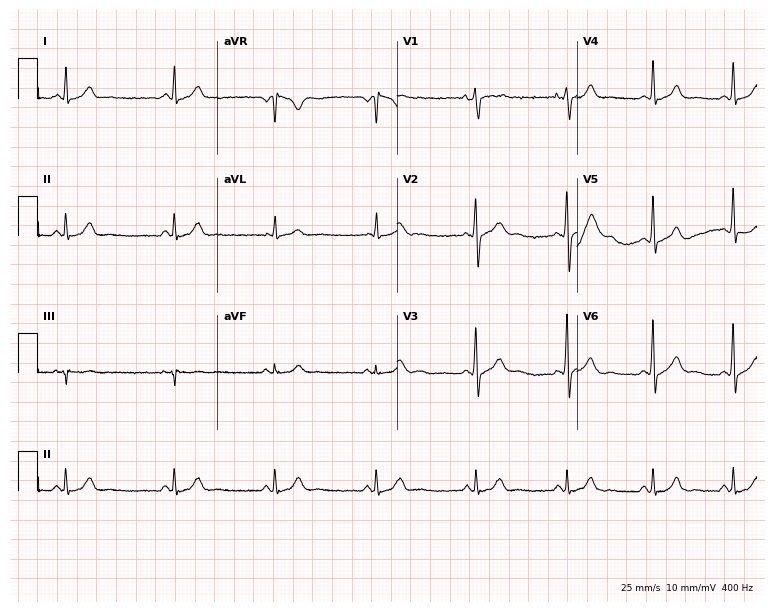
Electrocardiogram (7.3-second recording at 400 Hz), a man, 34 years old. Overall reading on record: normal ECG.